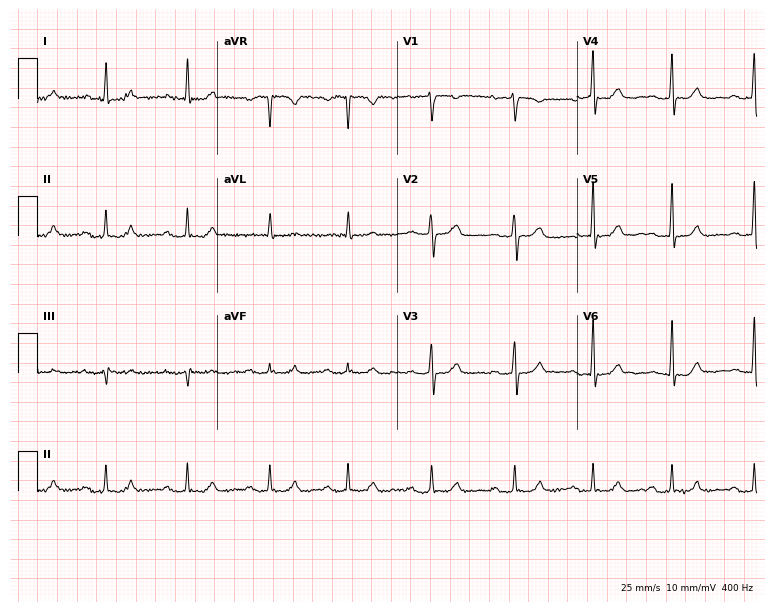
12-lead ECG from a 54-year-old man (7.3-second recording at 400 Hz). Shows first-degree AV block.